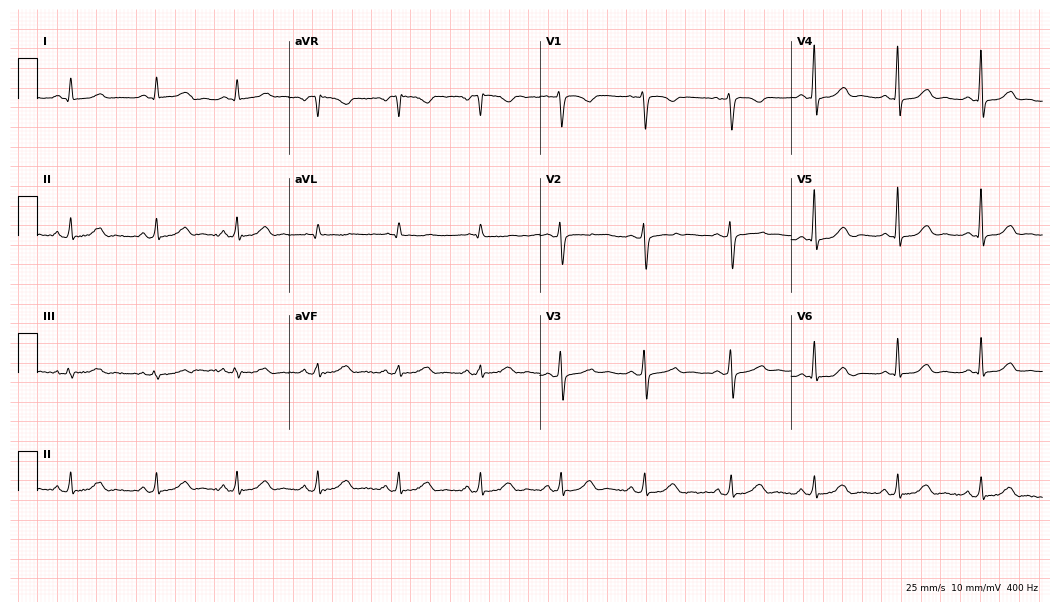
12-lead ECG (10.2-second recording at 400 Hz) from a female, 44 years old. Screened for six findings — first-degree AV block, right bundle branch block, left bundle branch block, sinus bradycardia, atrial fibrillation, sinus tachycardia — none is recorded. Findings outside these six are not listed.